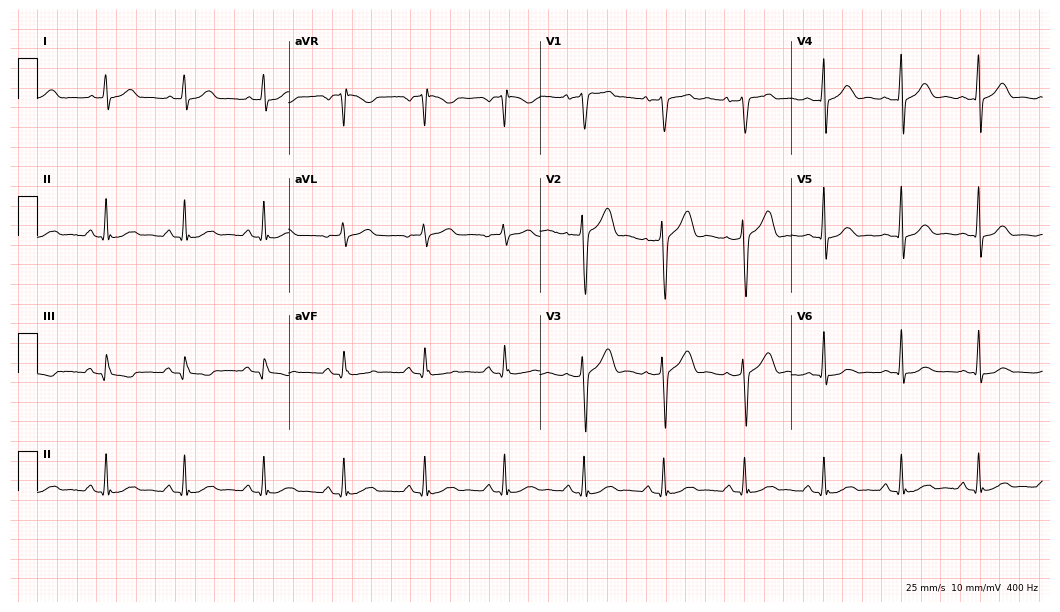
12-lead ECG (10.2-second recording at 400 Hz) from a 54-year-old male. Labelled as a normal ECG.